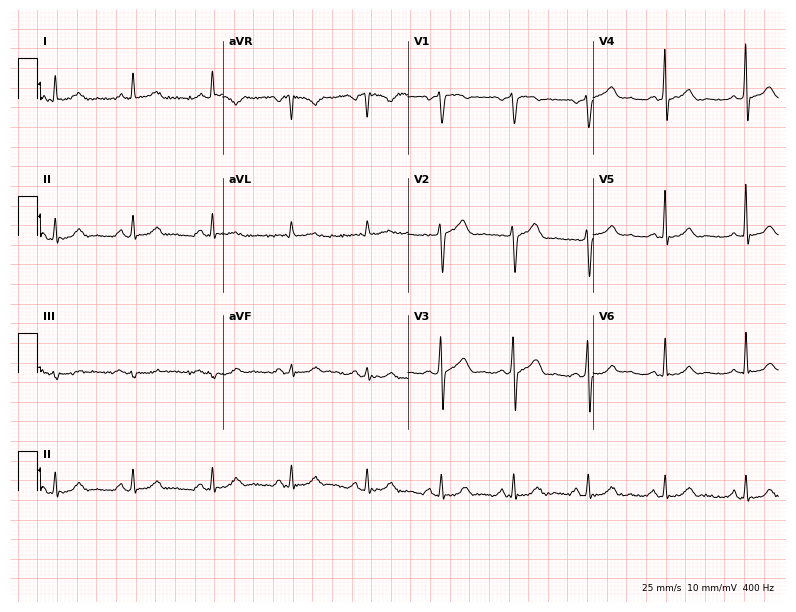
Standard 12-lead ECG recorded from a 41-year-old man. None of these six findings is recorded: first-degree AV block, right bundle branch block (RBBB), left bundle branch block (LBBB), sinus bradycardia, atrial fibrillation (AF), sinus tachycardia.